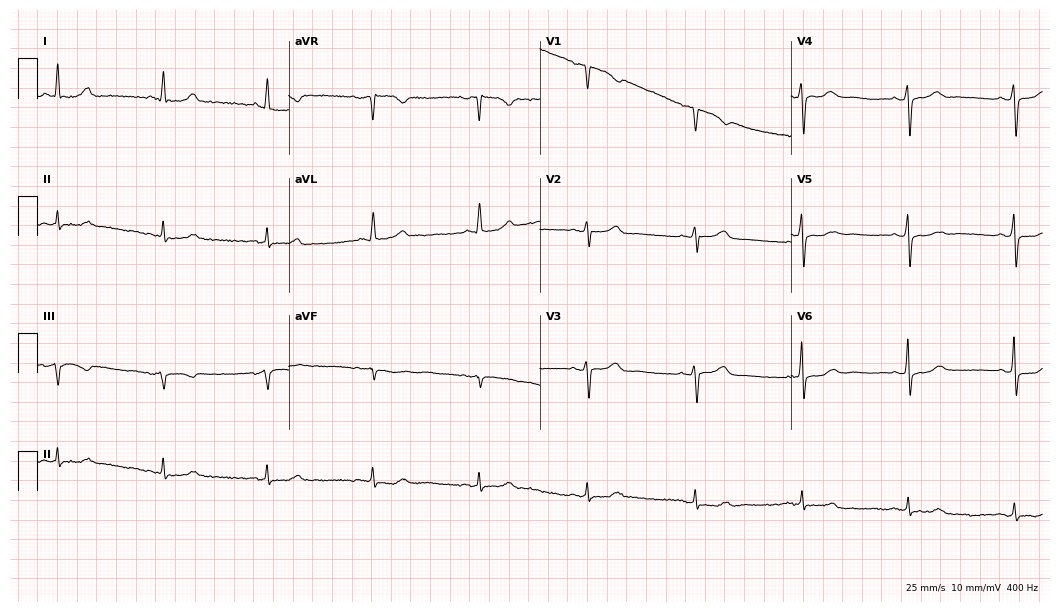
Standard 12-lead ECG recorded from a 63-year-old woman. None of these six findings is recorded: first-degree AV block, right bundle branch block, left bundle branch block, sinus bradycardia, atrial fibrillation, sinus tachycardia.